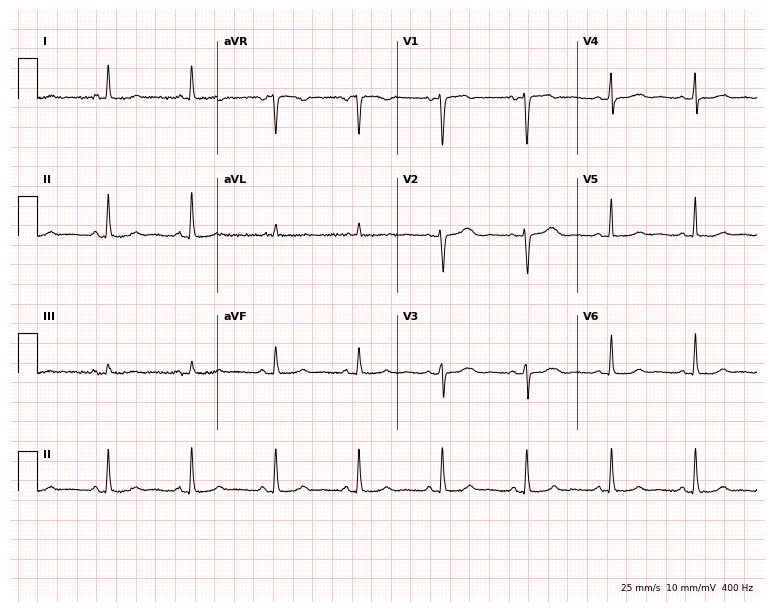
ECG (7.3-second recording at 400 Hz) — a 49-year-old female patient. Screened for six findings — first-degree AV block, right bundle branch block, left bundle branch block, sinus bradycardia, atrial fibrillation, sinus tachycardia — none is recorded.